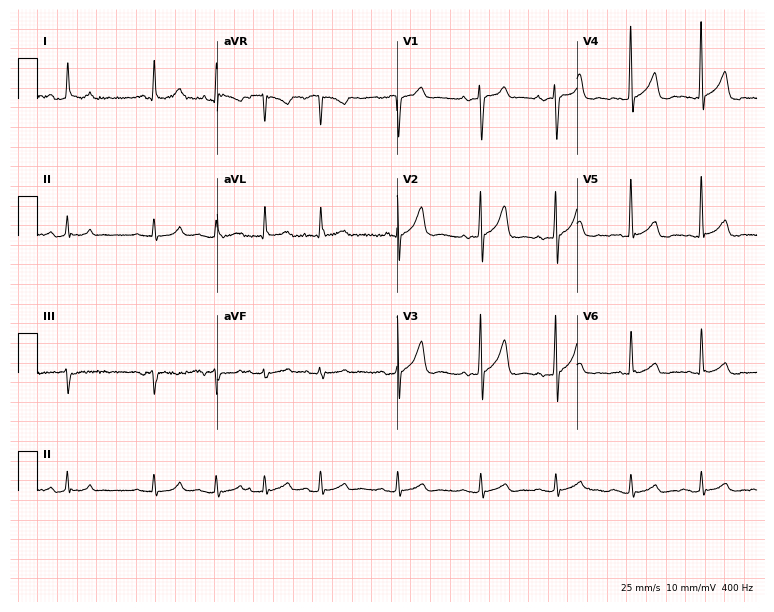
Electrocardiogram (7.3-second recording at 400 Hz), an 80-year-old male patient. Of the six screened findings (first-degree AV block, right bundle branch block, left bundle branch block, sinus bradycardia, atrial fibrillation, sinus tachycardia), none is recorded.